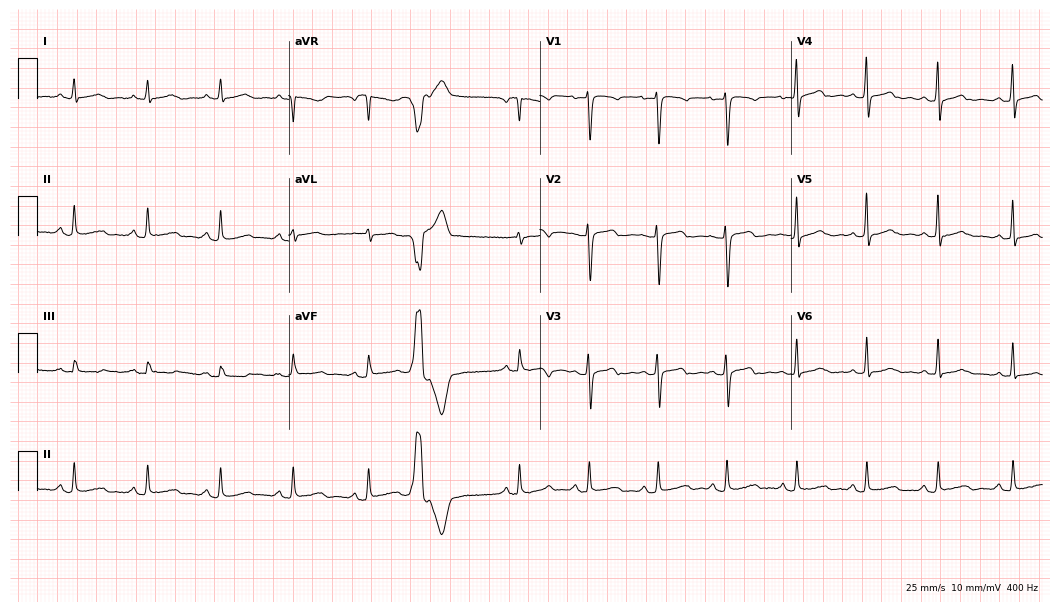
ECG (10.2-second recording at 400 Hz) — a 53-year-old woman. Screened for six findings — first-degree AV block, right bundle branch block (RBBB), left bundle branch block (LBBB), sinus bradycardia, atrial fibrillation (AF), sinus tachycardia — none is recorded.